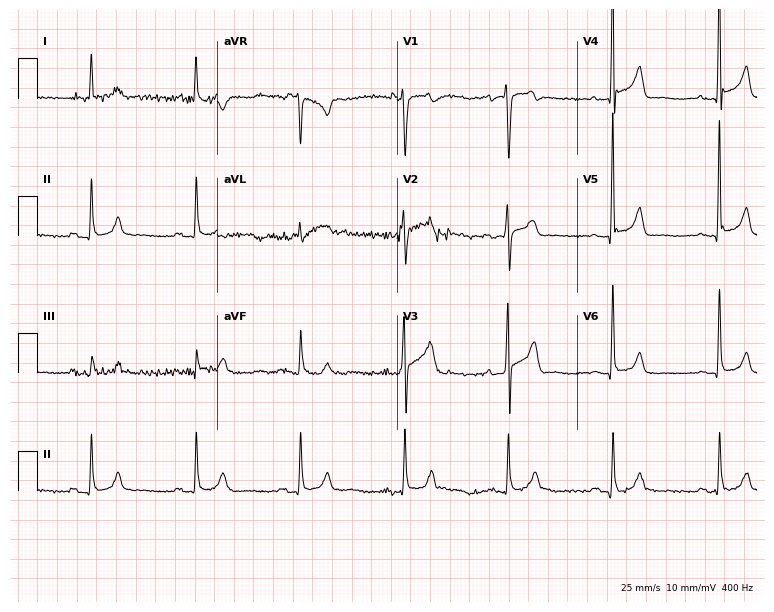
12-lead ECG from a male, 75 years old. No first-degree AV block, right bundle branch block (RBBB), left bundle branch block (LBBB), sinus bradycardia, atrial fibrillation (AF) or sinus tachycardia recorded for this tracing.